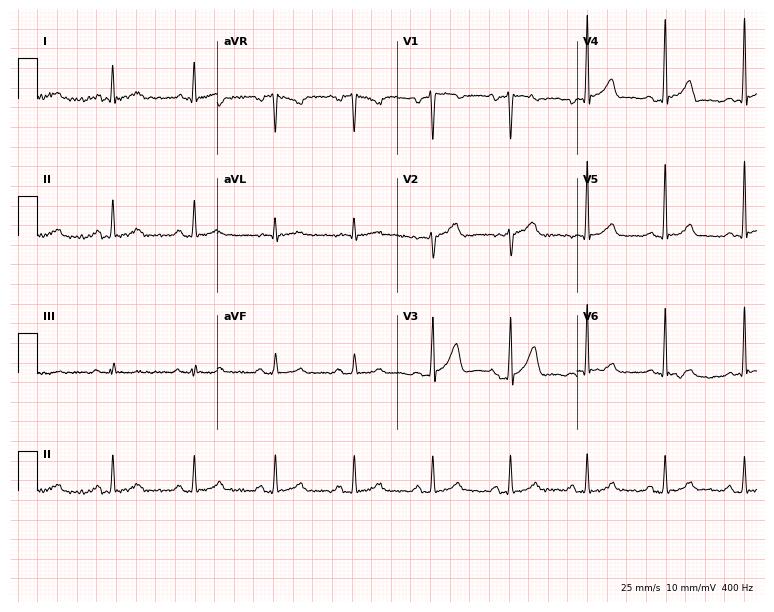
Standard 12-lead ECG recorded from a 46-year-old male patient. None of these six findings is recorded: first-degree AV block, right bundle branch block, left bundle branch block, sinus bradycardia, atrial fibrillation, sinus tachycardia.